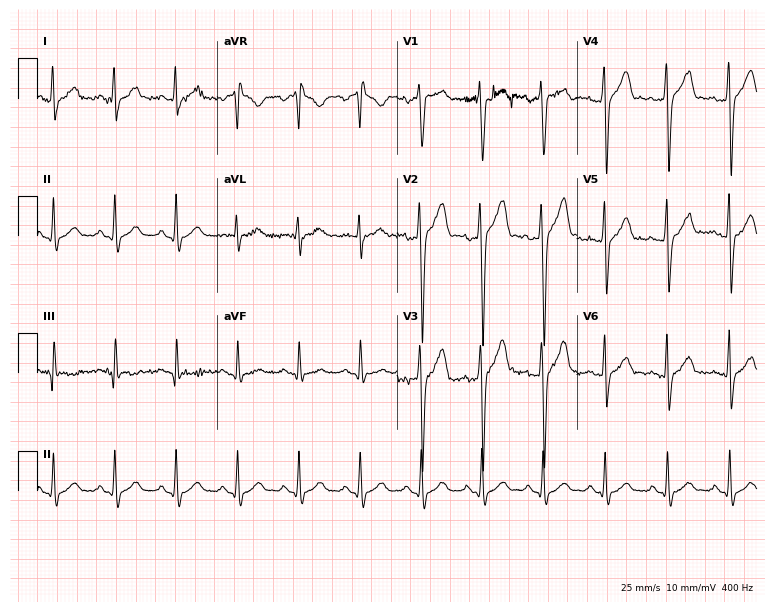
Resting 12-lead electrocardiogram (7.3-second recording at 400 Hz). Patient: a man, 28 years old. None of these six findings is recorded: first-degree AV block, right bundle branch block, left bundle branch block, sinus bradycardia, atrial fibrillation, sinus tachycardia. Findings outside these six are not listed.